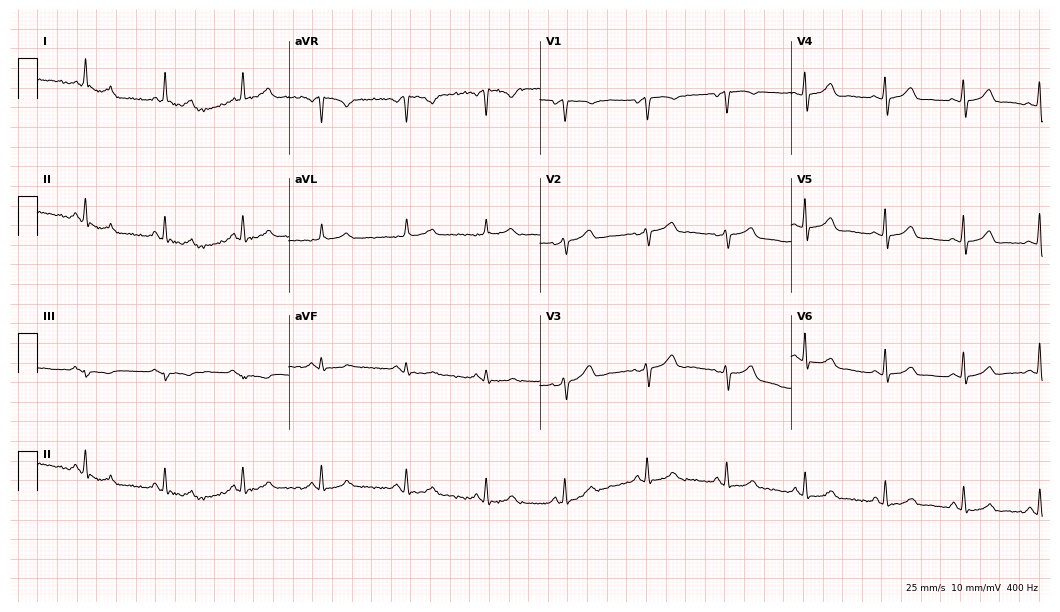
Electrocardiogram (10.2-second recording at 400 Hz), a 45-year-old man. Overall reading on record: normal ECG.